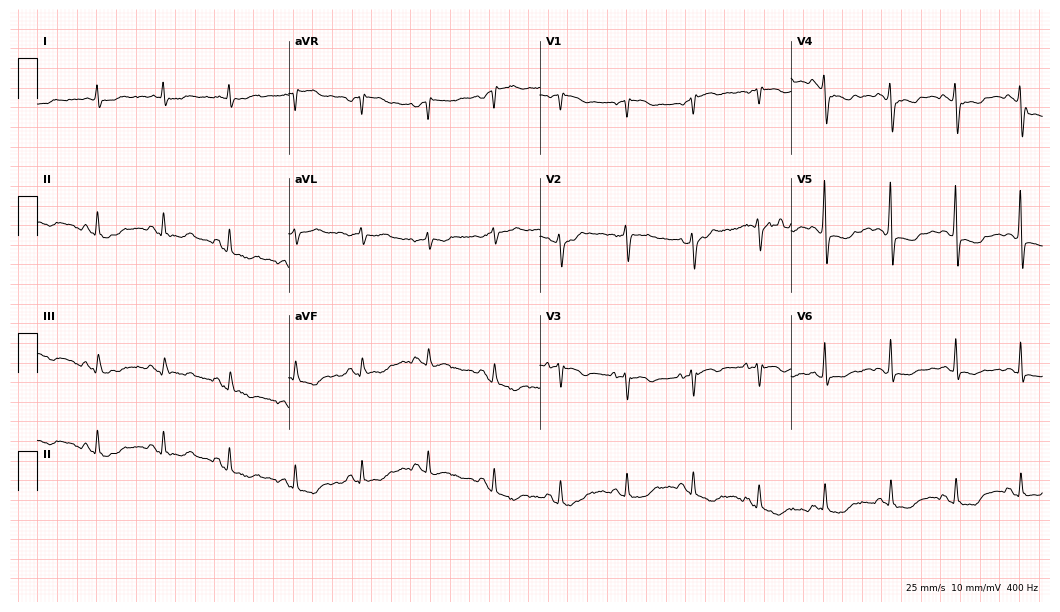
Standard 12-lead ECG recorded from a 76-year-old female. None of these six findings is recorded: first-degree AV block, right bundle branch block (RBBB), left bundle branch block (LBBB), sinus bradycardia, atrial fibrillation (AF), sinus tachycardia.